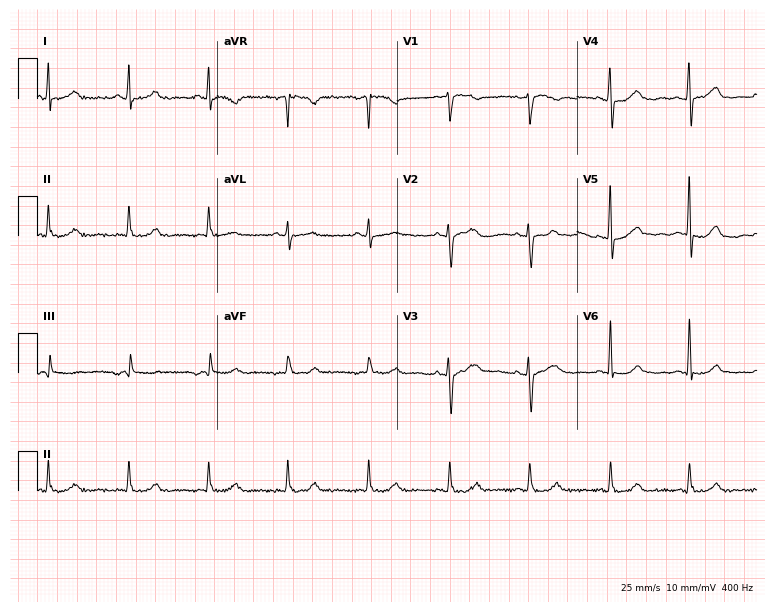
Standard 12-lead ECG recorded from a female, 53 years old (7.3-second recording at 400 Hz). Read as a normal ECG.